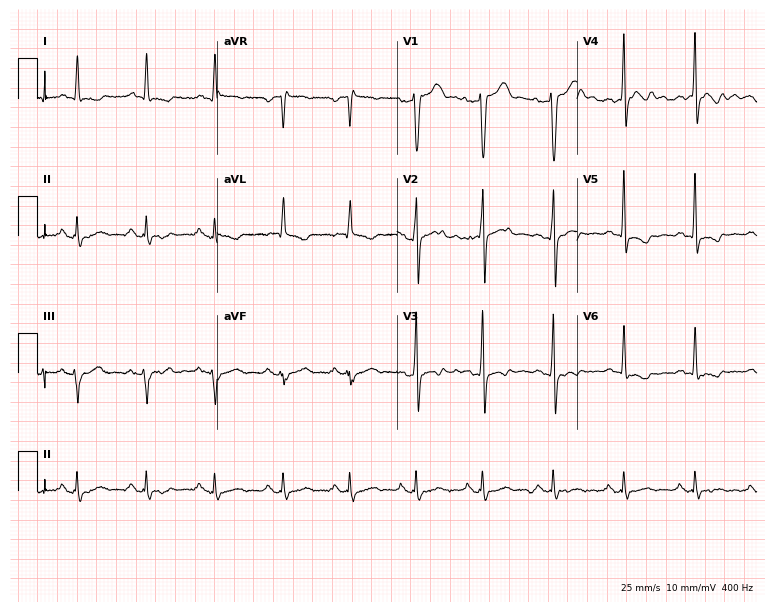
ECG — a 61-year-old man. Screened for six findings — first-degree AV block, right bundle branch block, left bundle branch block, sinus bradycardia, atrial fibrillation, sinus tachycardia — none is recorded. Only these six findings were labelled.